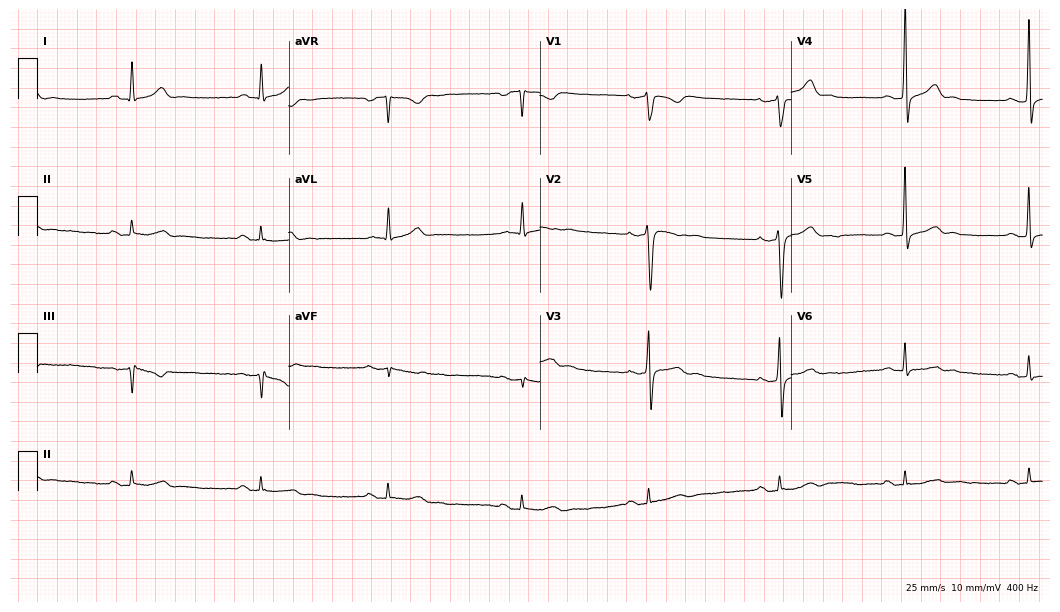
12-lead ECG (10.2-second recording at 400 Hz) from a male, 44 years old. Findings include sinus bradycardia (a sinus rate of 50 beats per minute or less).